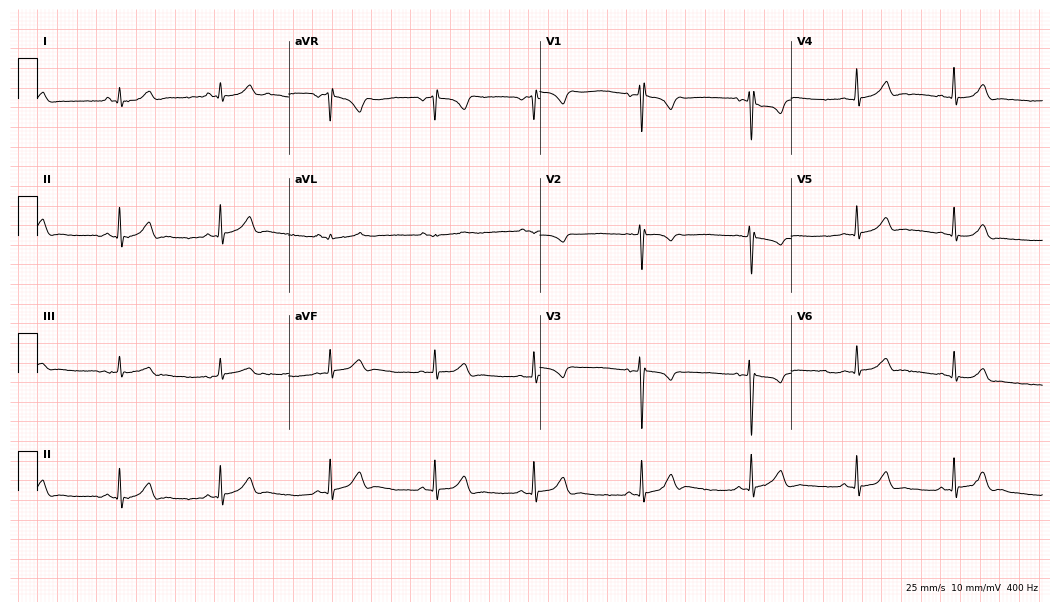
12-lead ECG from a 21-year-old male. No first-degree AV block, right bundle branch block (RBBB), left bundle branch block (LBBB), sinus bradycardia, atrial fibrillation (AF) or sinus tachycardia recorded for this tracing.